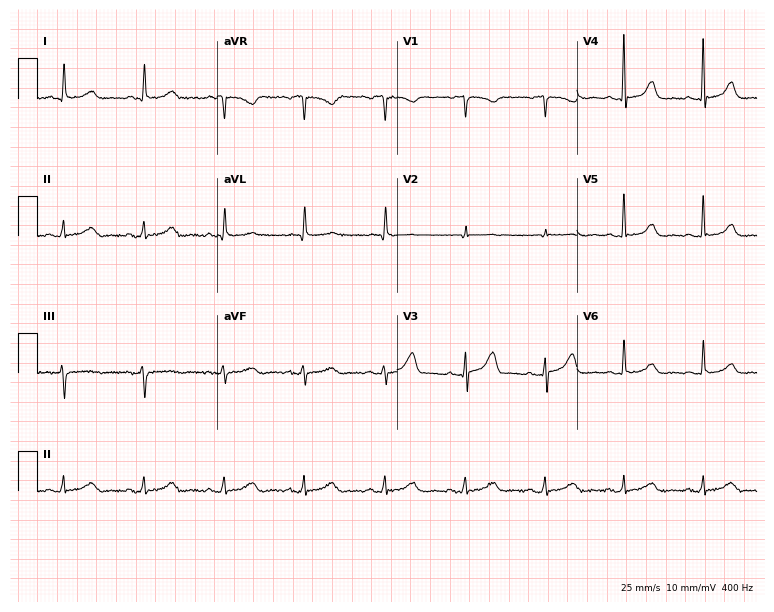
12-lead ECG from a female patient, 78 years old (7.3-second recording at 400 Hz). No first-degree AV block, right bundle branch block (RBBB), left bundle branch block (LBBB), sinus bradycardia, atrial fibrillation (AF) or sinus tachycardia recorded for this tracing.